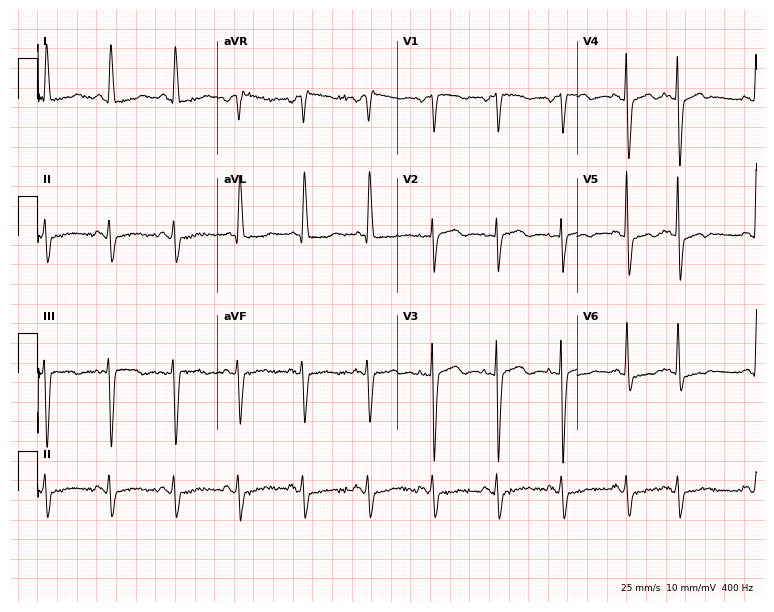
Electrocardiogram (7.3-second recording at 400 Hz), a female, 81 years old. Of the six screened findings (first-degree AV block, right bundle branch block, left bundle branch block, sinus bradycardia, atrial fibrillation, sinus tachycardia), none is recorded.